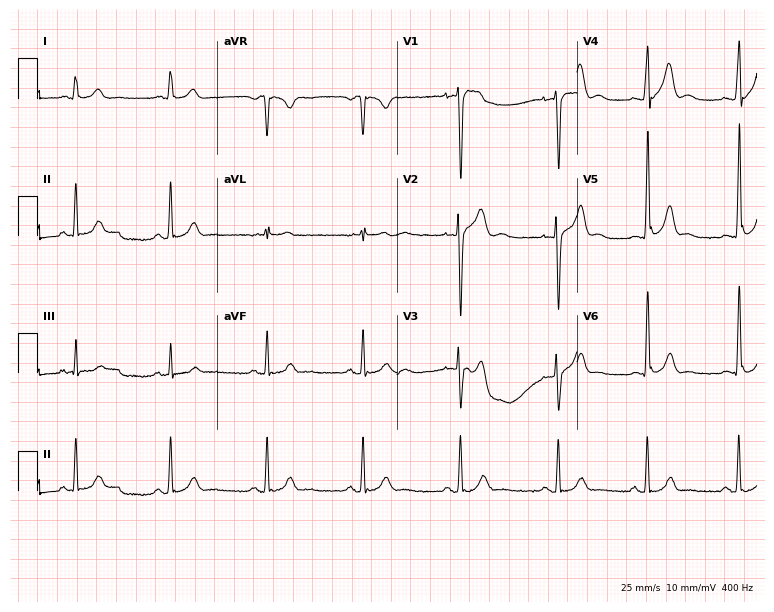
ECG (7.3-second recording at 400 Hz) — a 29-year-old male. Labelled as a normal ECG.